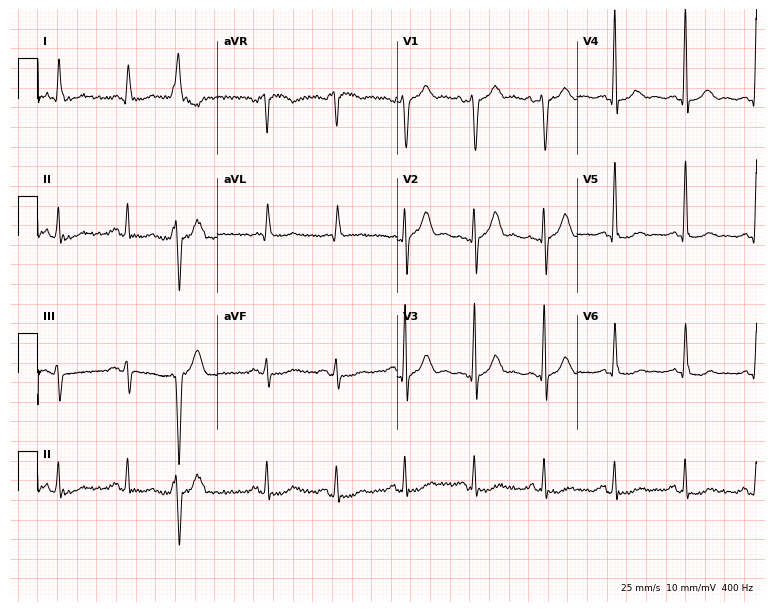
Electrocardiogram, a 67-year-old male patient. Of the six screened findings (first-degree AV block, right bundle branch block, left bundle branch block, sinus bradycardia, atrial fibrillation, sinus tachycardia), none is recorded. Only these six findings were labelled.